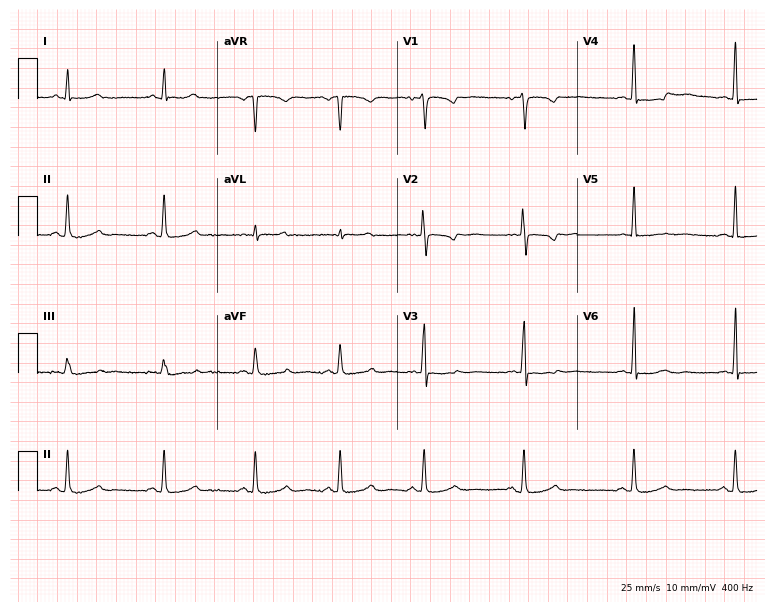
12-lead ECG from a female patient, 51 years old (7.3-second recording at 400 Hz). No first-degree AV block, right bundle branch block, left bundle branch block, sinus bradycardia, atrial fibrillation or sinus tachycardia recorded for this tracing. Findings outside these six are not listed.